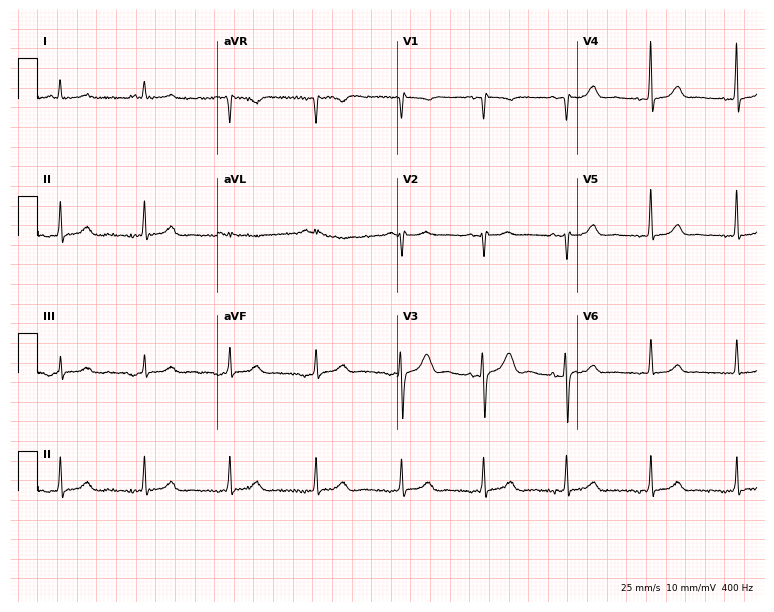
Electrocardiogram (7.3-second recording at 400 Hz), a female, 56 years old. Overall reading on record: normal ECG.